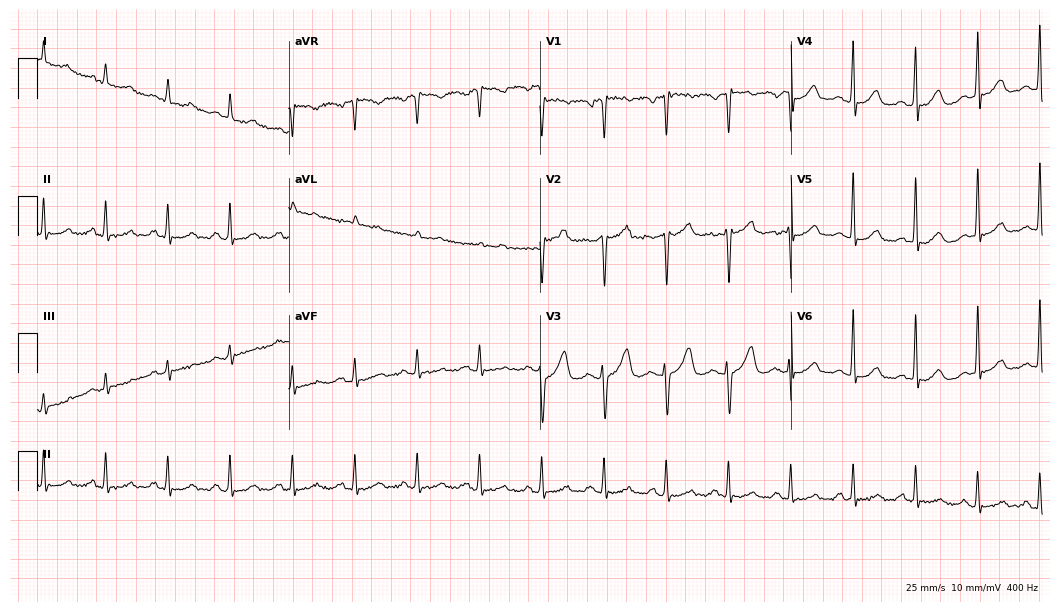
Resting 12-lead electrocardiogram. Patient: a male, 50 years old. Read as a normal ECG.